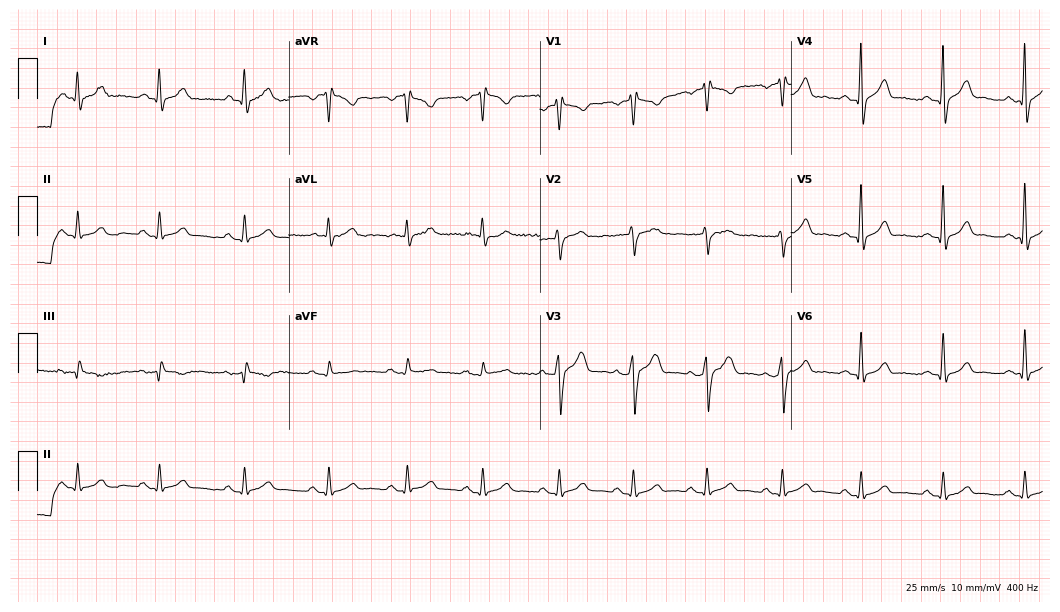
Resting 12-lead electrocardiogram. Patient: a man, 46 years old. Read as a normal ECG.